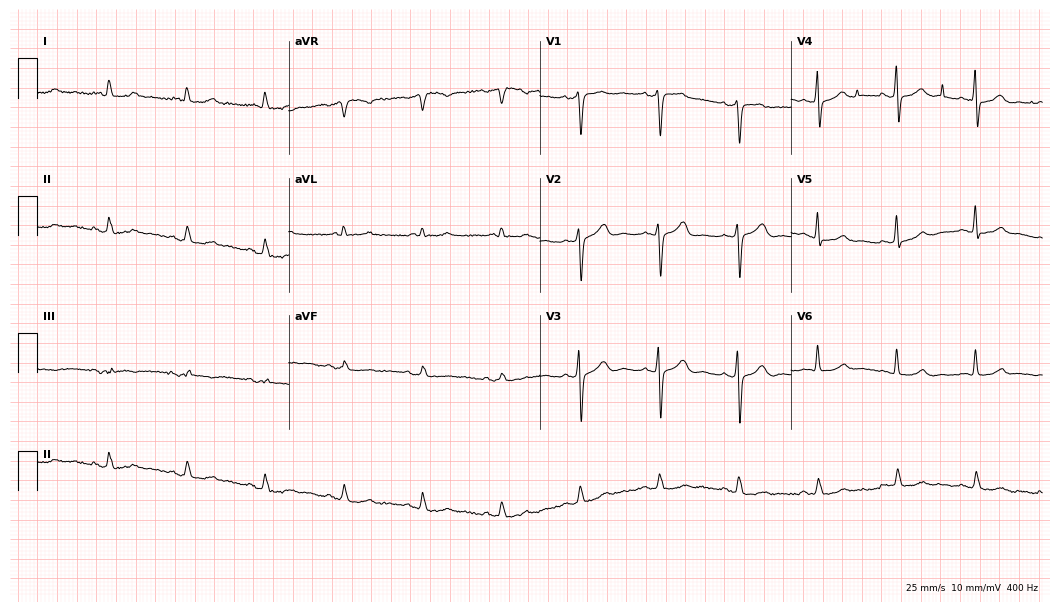
Electrocardiogram (10.2-second recording at 400 Hz), a 73-year-old female. Of the six screened findings (first-degree AV block, right bundle branch block, left bundle branch block, sinus bradycardia, atrial fibrillation, sinus tachycardia), none is recorded.